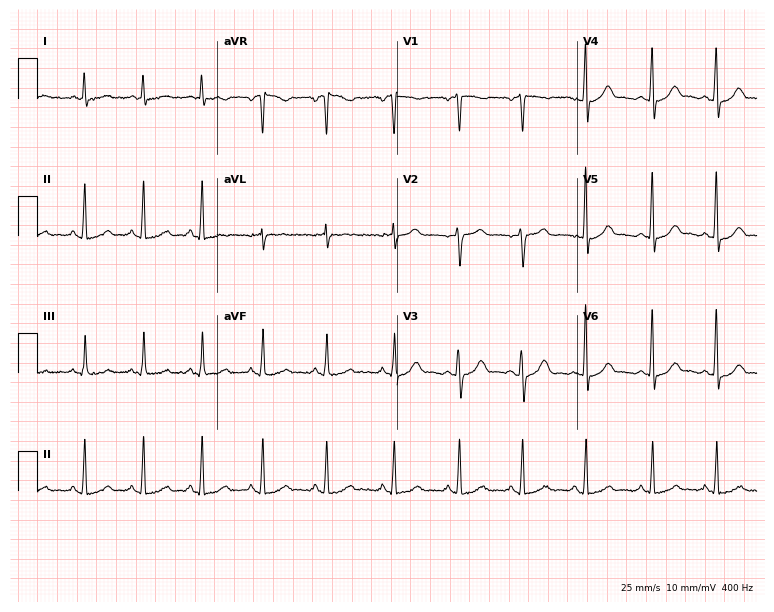
12-lead ECG from a woman, 41 years old (7.3-second recording at 400 Hz). Recorded interpretation: within normal limits.